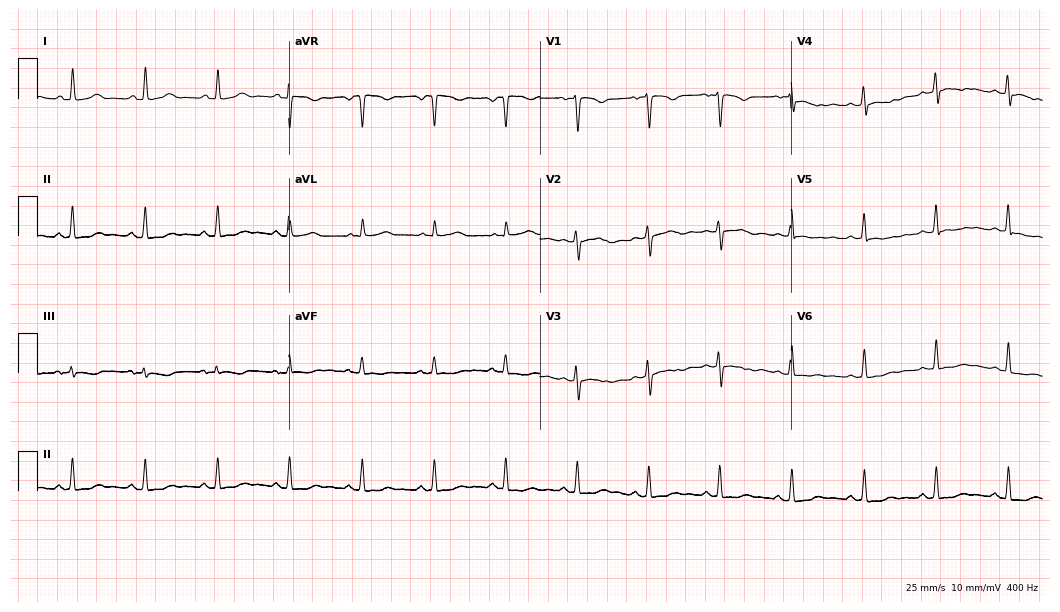
Electrocardiogram, a female patient, 48 years old. Overall reading on record: normal ECG.